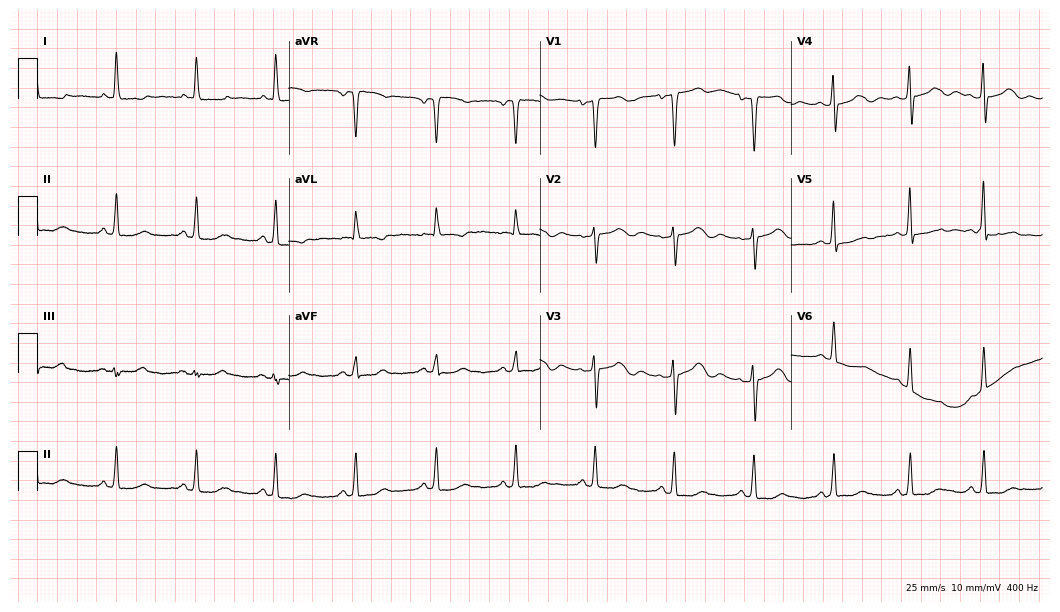
Standard 12-lead ECG recorded from a 71-year-old woman. None of these six findings is recorded: first-degree AV block, right bundle branch block (RBBB), left bundle branch block (LBBB), sinus bradycardia, atrial fibrillation (AF), sinus tachycardia.